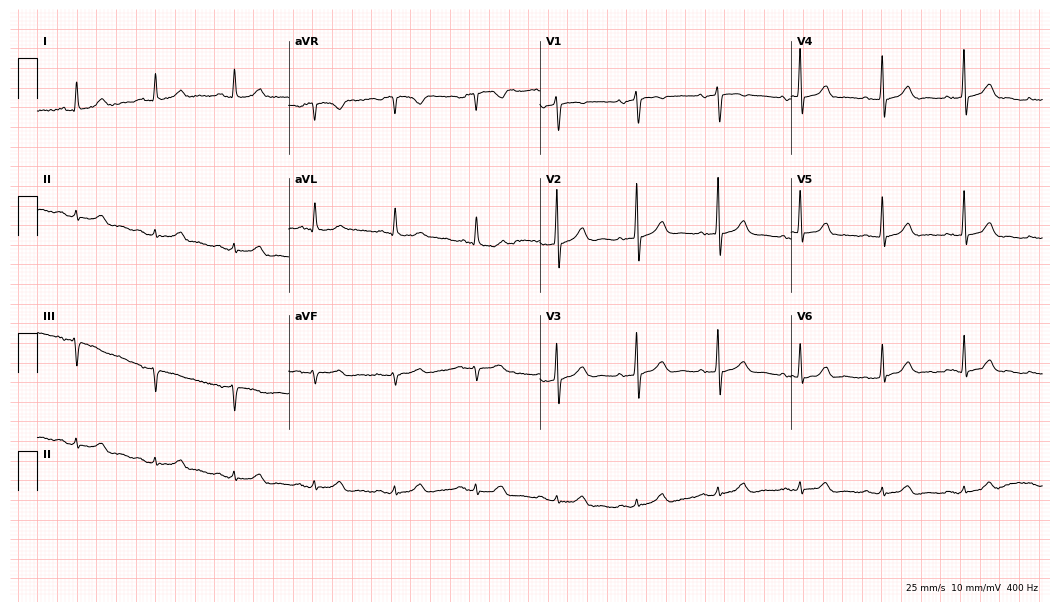
Resting 12-lead electrocardiogram. Patient: a 71-year-old female. Read as a normal ECG.